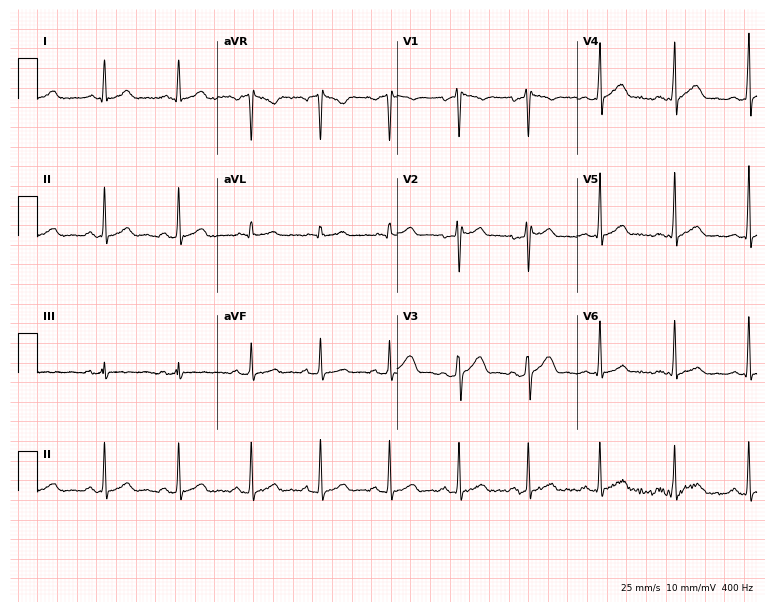
ECG (7.3-second recording at 400 Hz) — a 38-year-old male. Labelled as a normal ECG.